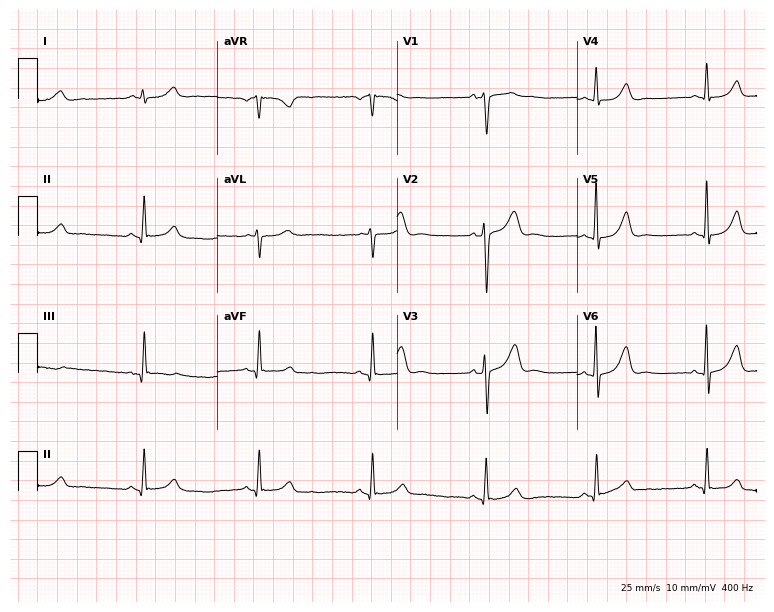
12-lead ECG (7.3-second recording at 400 Hz) from a male, 53 years old. Screened for six findings — first-degree AV block, right bundle branch block, left bundle branch block, sinus bradycardia, atrial fibrillation, sinus tachycardia — none is recorded.